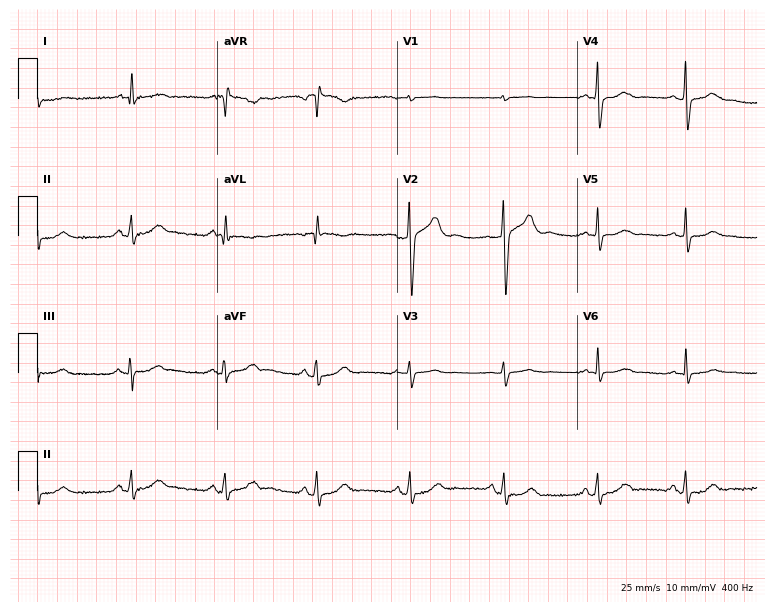
ECG — a 54-year-old female patient. Screened for six findings — first-degree AV block, right bundle branch block, left bundle branch block, sinus bradycardia, atrial fibrillation, sinus tachycardia — none is recorded. Findings outside these six are not listed.